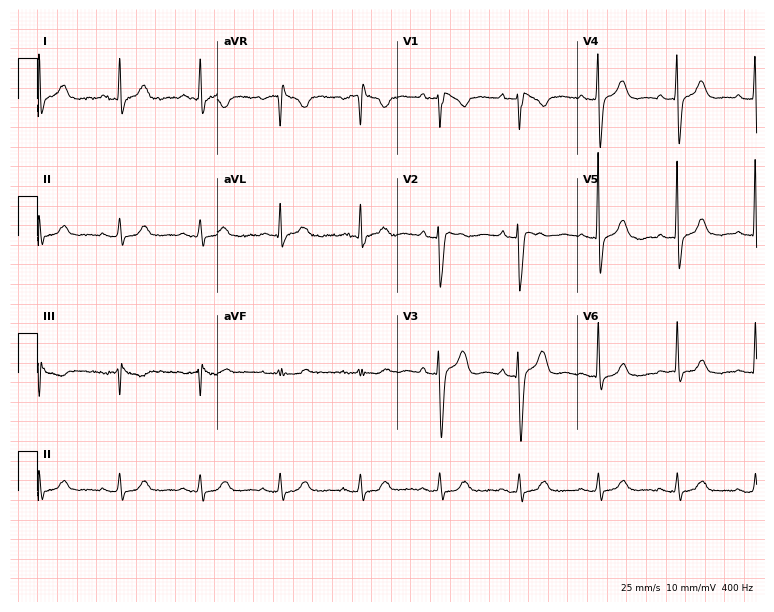
Resting 12-lead electrocardiogram. Patient: a 69-year-old female. Read as a normal ECG.